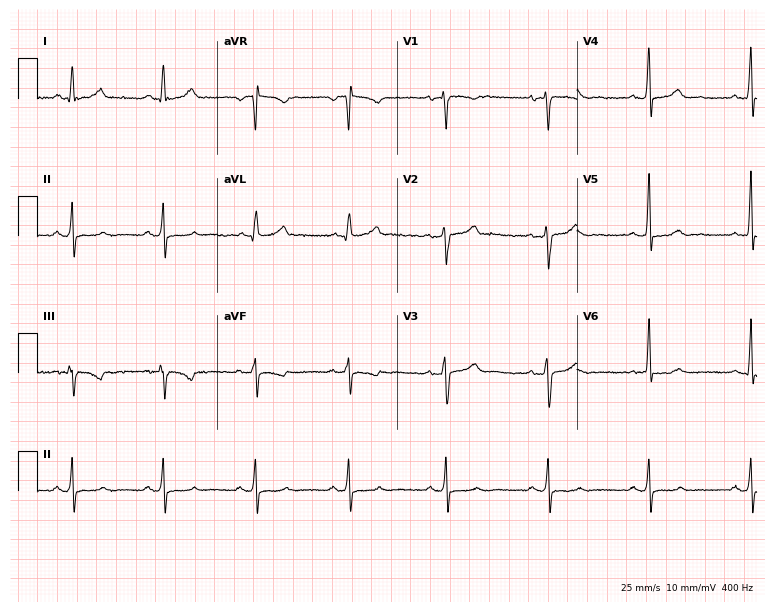
Standard 12-lead ECG recorded from a female, 38 years old. None of these six findings is recorded: first-degree AV block, right bundle branch block, left bundle branch block, sinus bradycardia, atrial fibrillation, sinus tachycardia.